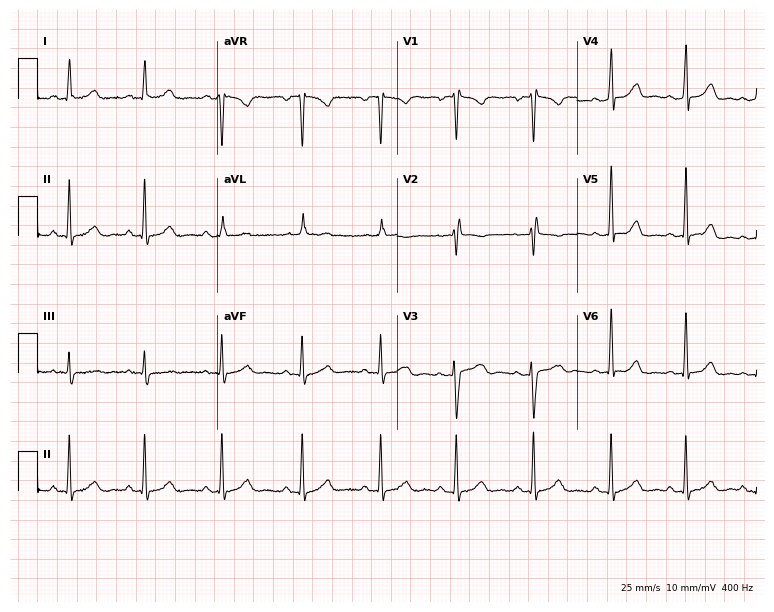
Standard 12-lead ECG recorded from a female, 36 years old. Read as a normal ECG.